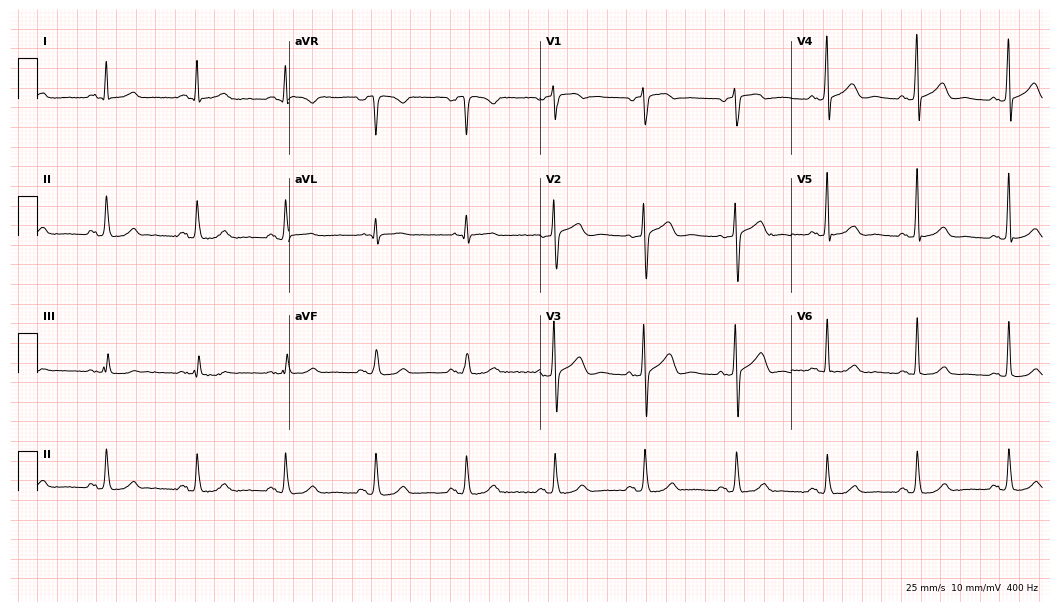
Resting 12-lead electrocardiogram. Patient: a 60-year-old man. None of these six findings is recorded: first-degree AV block, right bundle branch block, left bundle branch block, sinus bradycardia, atrial fibrillation, sinus tachycardia. Findings outside these six are not listed.